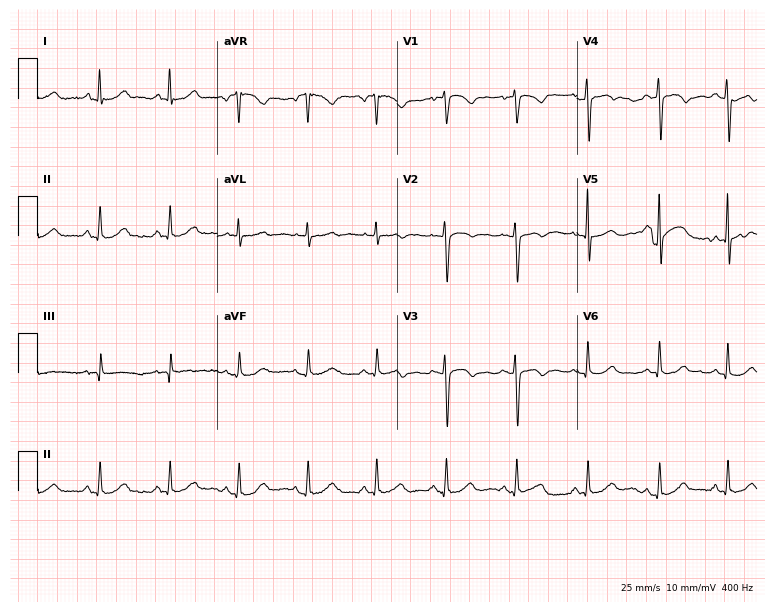
Resting 12-lead electrocardiogram. Patient: a female, 62 years old. None of these six findings is recorded: first-degree AV block, right bundle branch block (RBBB), left bundle branch block (LBBB), sinus bradycardia, atrial fibrillation (AF), sinus tachycardia. Only these six findings were labelled.